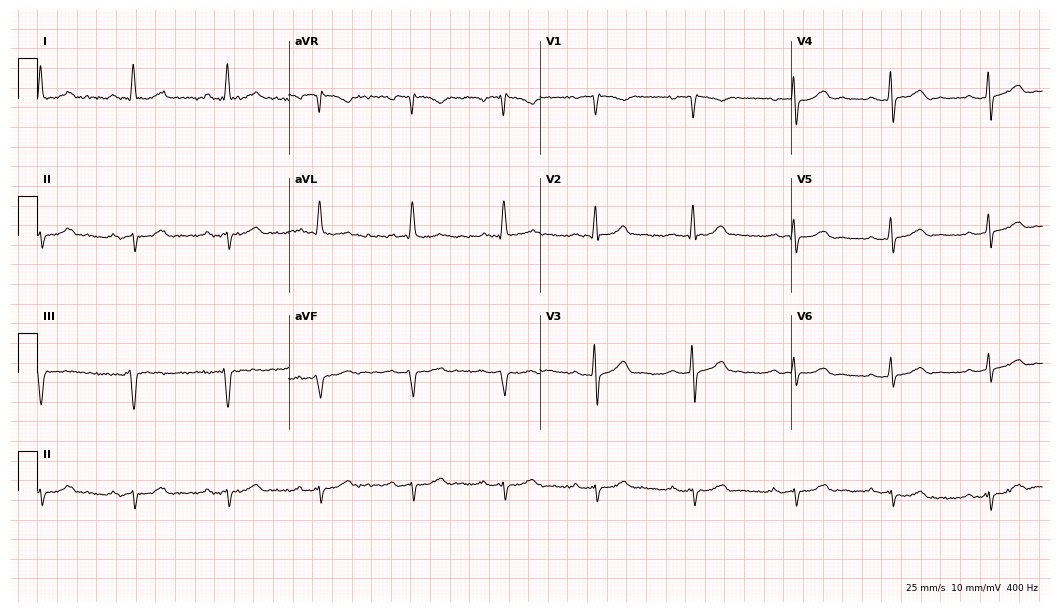
Resting 12-lead electrocardiogram (10.2-second recording at 400 Hz). Patient: a 69-year-old female. None of these six findings is recorded: first-degree AV block, right bundle branch block, left bundle branch block, sinus bradycardia, atrial fibrillation, sinus tachycardia. Only these six findings were labelled.